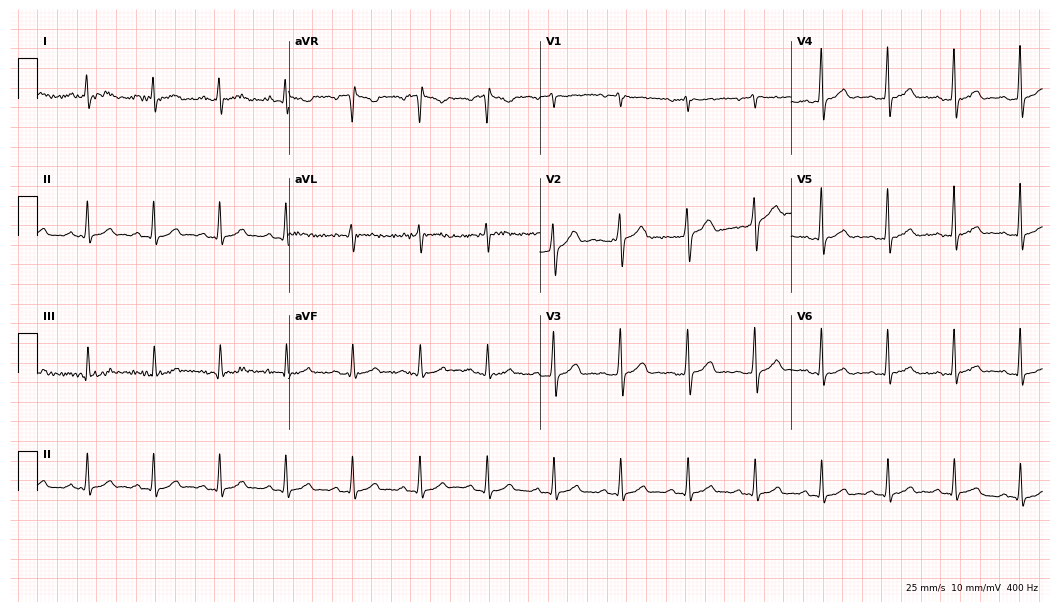
Electrocardiogram, a 44-year-old man. Overall reading on record: normal ECG.